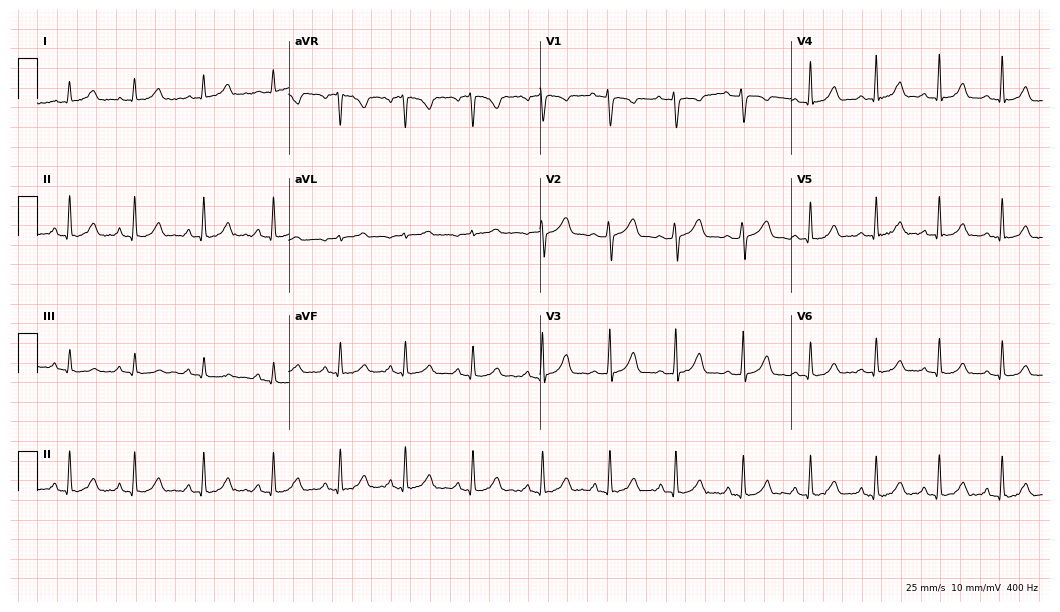
Resting 12-lead electrocardiogram. Patient: a woman, 22 years old. Read as a normal ECG.